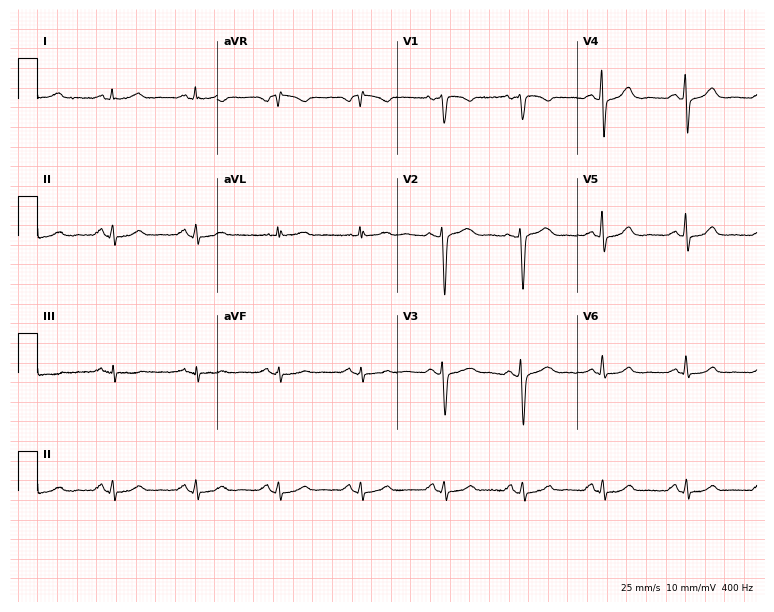
Resting 12-lead electrocardiogram (7.3-second recording at 400 Hz). Patient: a 49-year-old female. Read as a normal ECG.